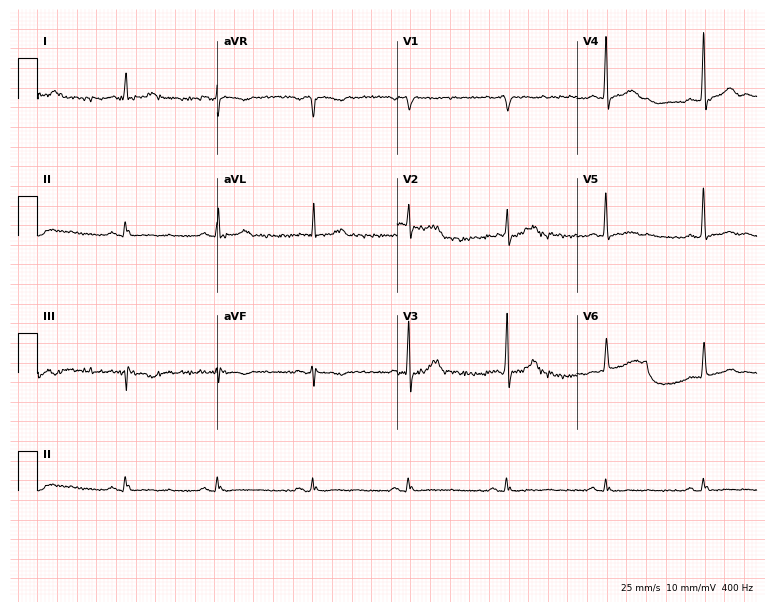
Standard 12-lead ECG recorded from a male patient, 49 years old. None of these six findings is recorded: first-degree AV block, right bundle branch block, left bundle branch block, sinus bradycardia, atrial fibrillation, sinus tachycardia.